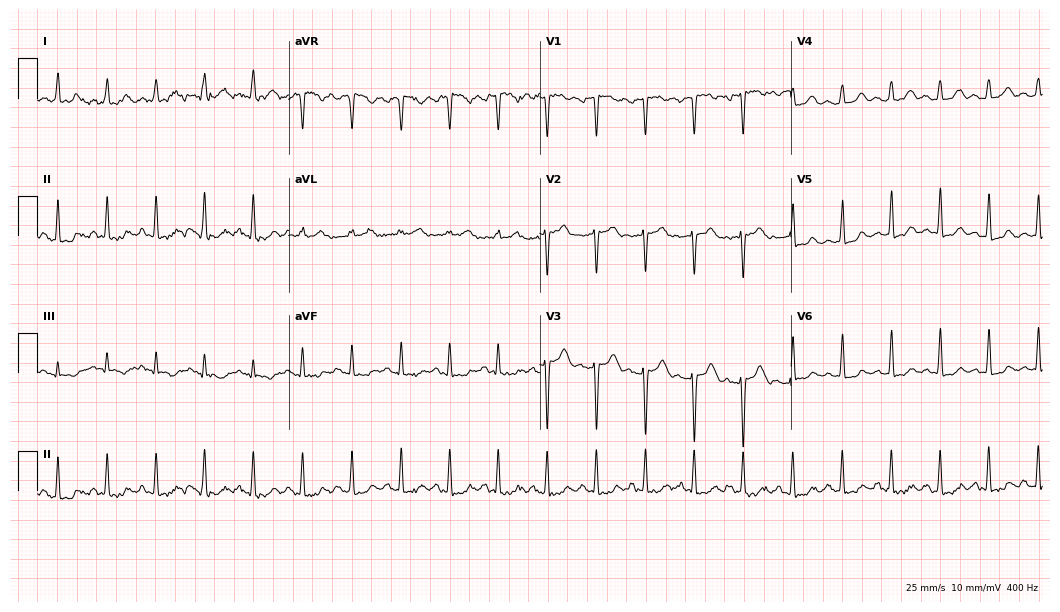
12-lead ECG from a 28-year-old woman (10.2-second recording at 400 Hz). Shows sinus tachycardia (a sinus rate of 100 beats per minute or more).